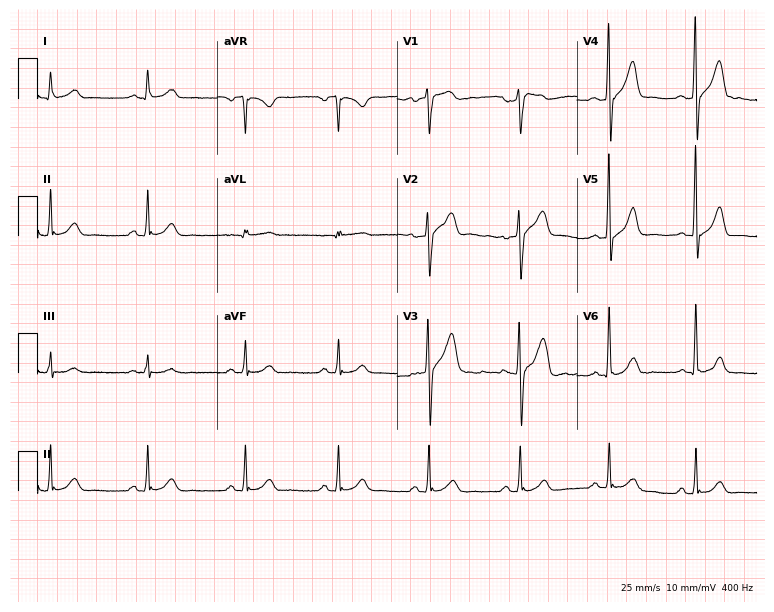
12-lead ECG from a man, 56 years old (7.3-second recording at 400 Hz). Recorded interpretation: within normal limits.